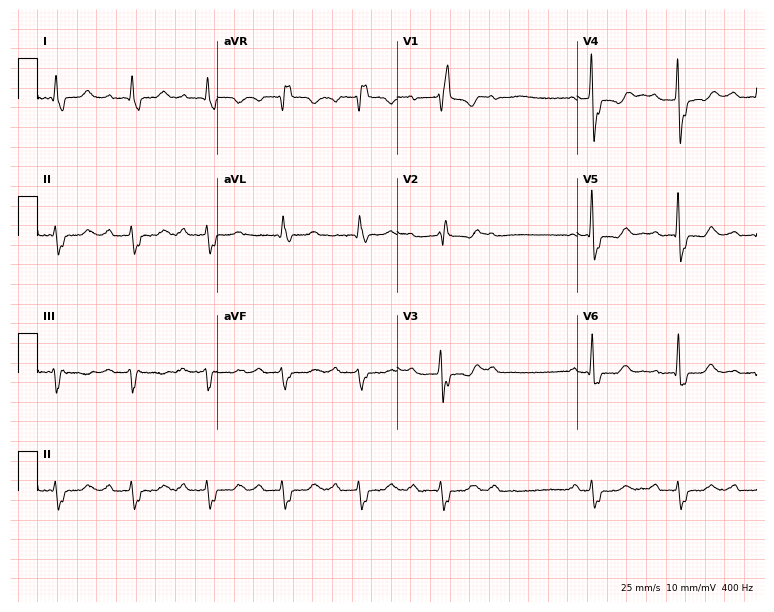
Standard 12-lead ECG recorded from a 71-year-old female patient. The tracing shows first-degree AV block, right bundle branch block.